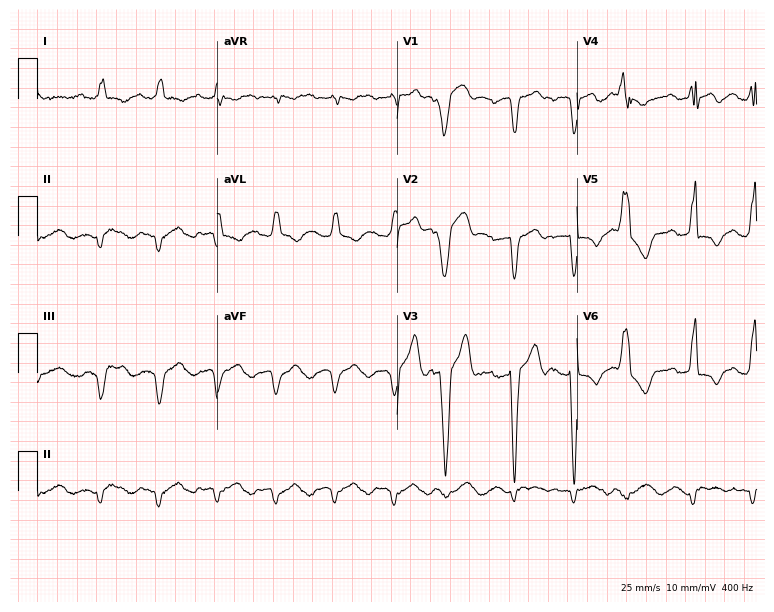
Standard 12-lead ECG recorded from a 46-year-old man (7.3-second recording at 400 Hz). The tracing shows left bundle branch block (LBBB), sinus tachycardia (a sinus rate of 100 beats per minute or more).